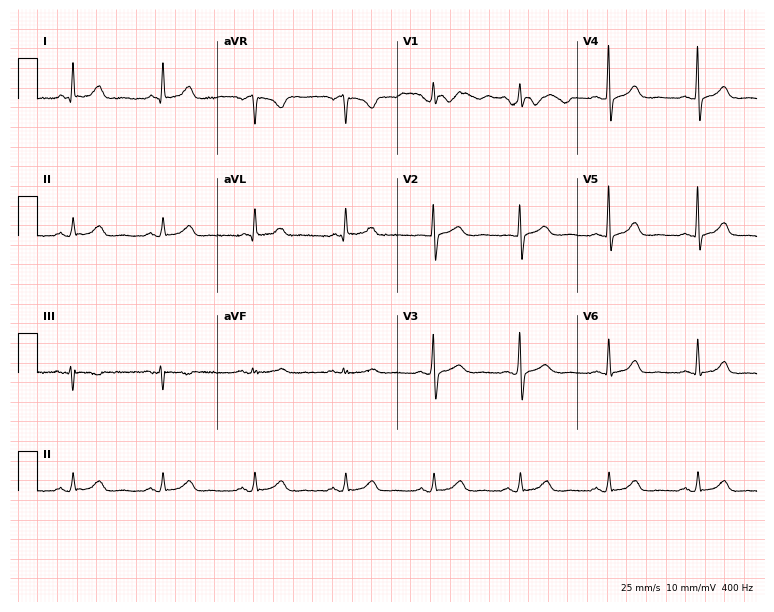
Electrocardiogram, a female patient, 46 years old. Overall reading on record: normal ECG.